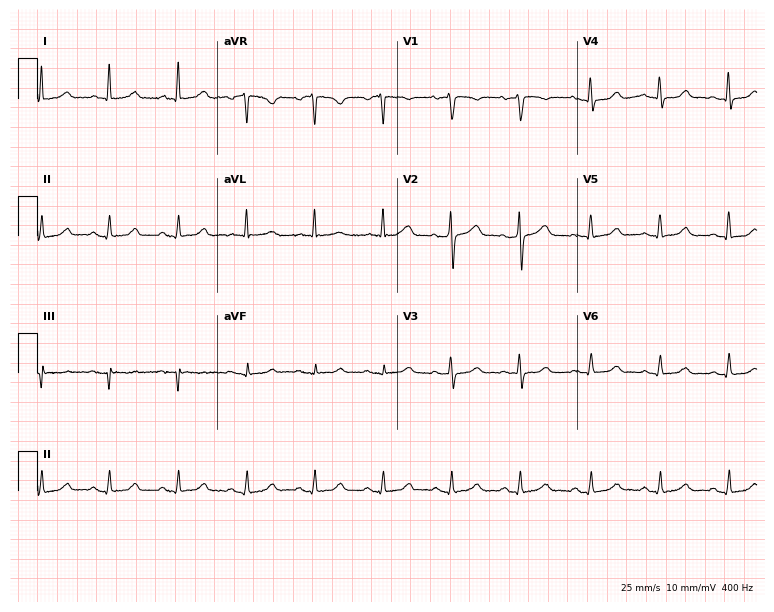
Electrocardiogram, a female patient, 55 years old. Of the six screened findings (first-degree AV block, right bundle branch block, left bundle branch block, sinus bradycardia, atrial fibrillation, sinus tachycardia), none is recorded.